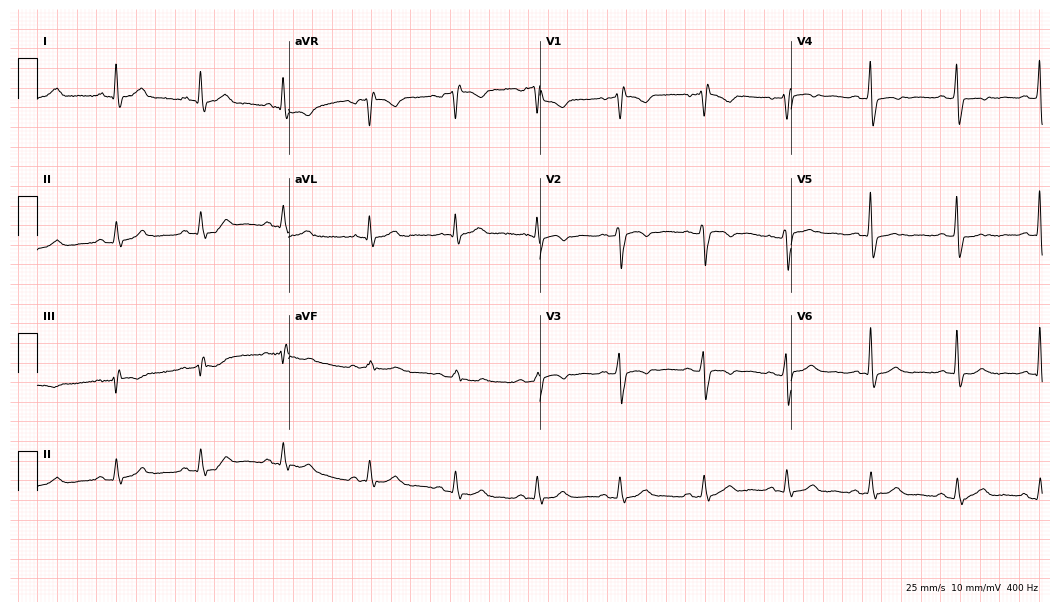
Electrocardiogram, a female patient, 69 years old. Interpretation includes right bundle branch block (RBBB).